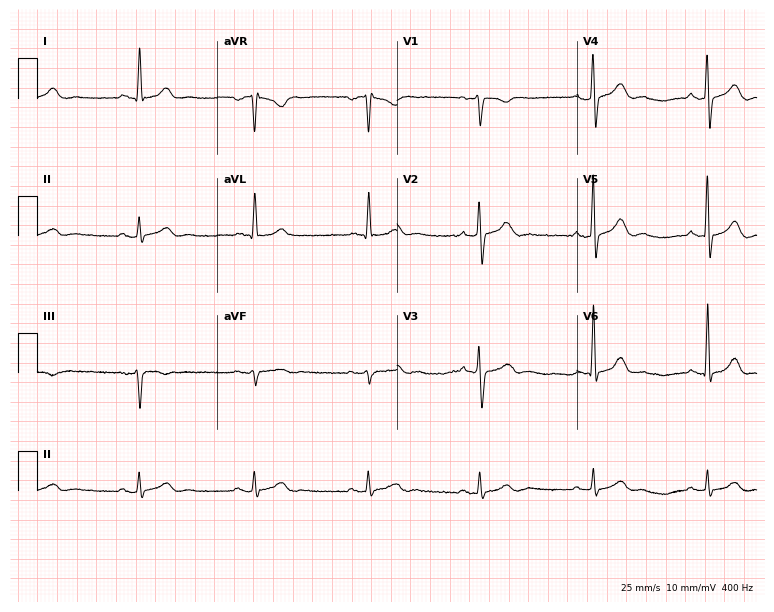
Standard 12-lead ECG recorded from a male, 69 years old (7.3-second recording at 400 Hz). None of these six findings is recorded: first-degree AV block, right bundle branch block (RBBB), left bundle branch block (LBBB), sinus bradycardia, atrial fibrillation (AF), sinus tachycardia.